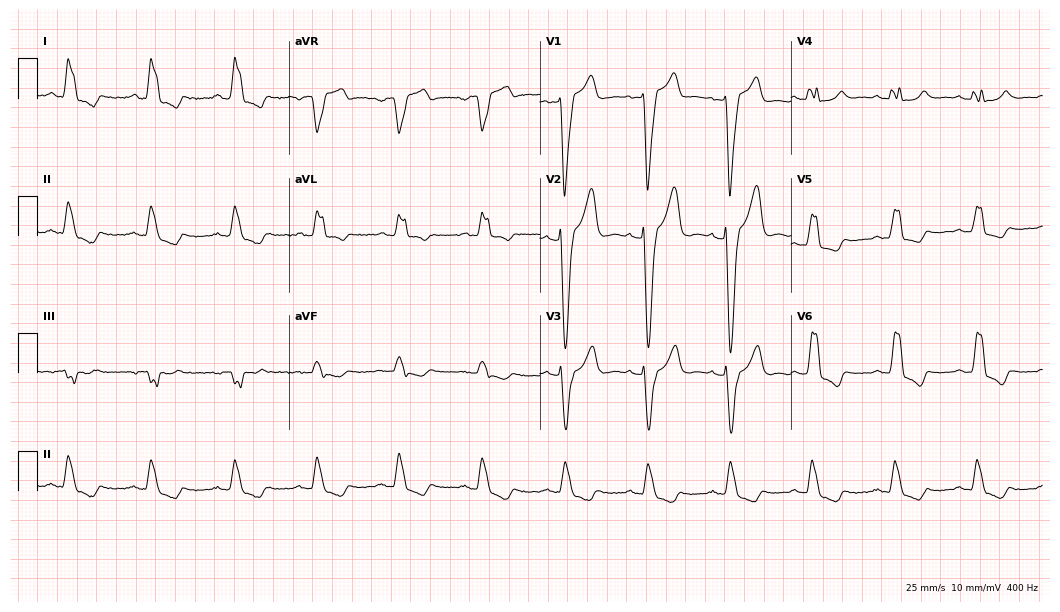
Standard 12-lead ECG recorded from a 67-year-old male patient. The tracing shows left bundle branch block.